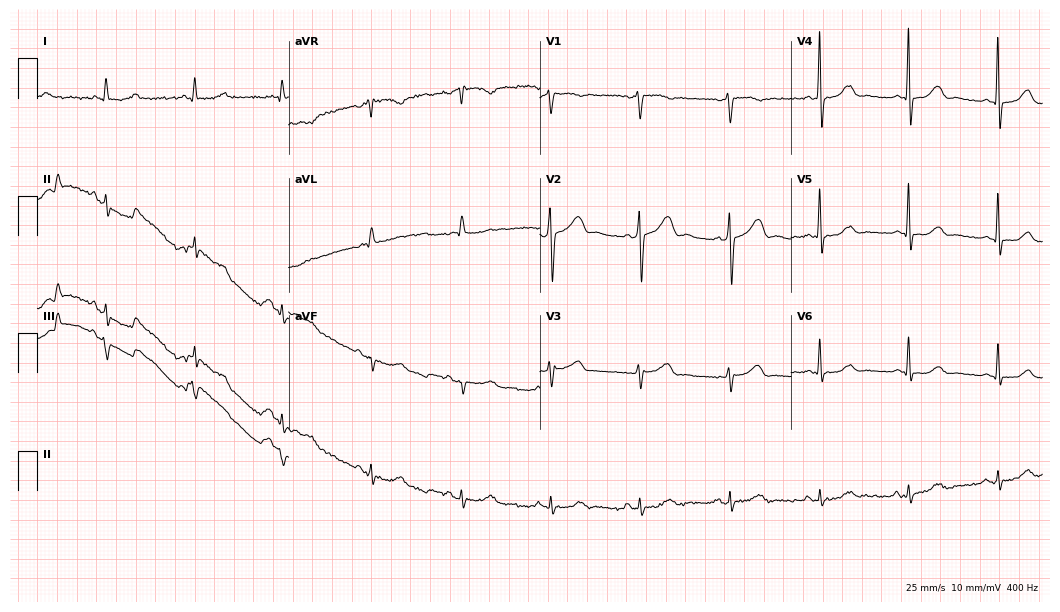
Electrocardiogram, a female patient, 57 years old. Overall reading on record: normal ECG.